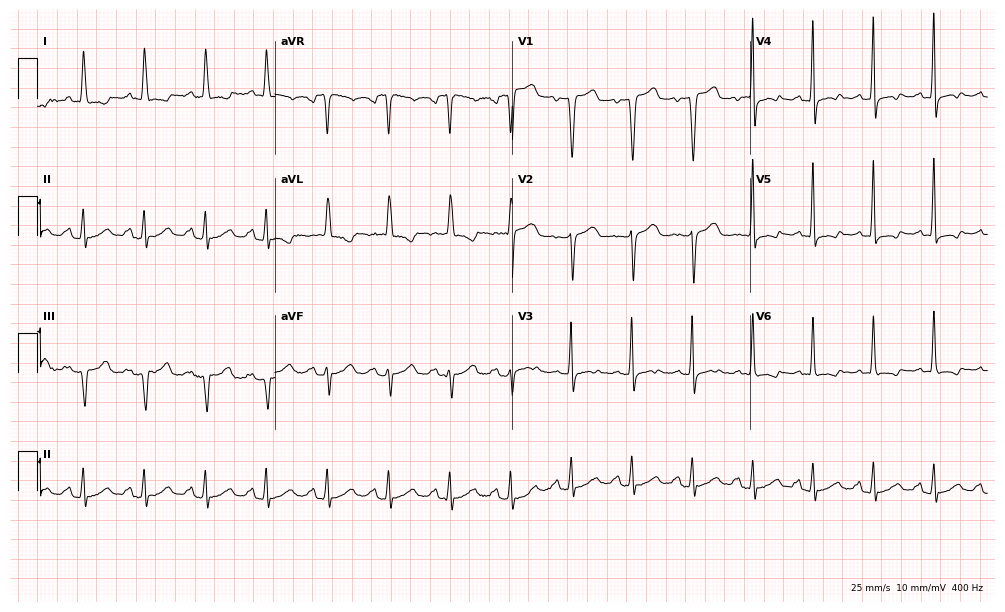
Resting 12-lead electrocardiogram. Patient: a female, 69 years old. None of these six findings is recorded: first-degree AV block, right bundle branch block, left bundle branch block, sinus bradycardia, atrial fibrillation, sinus tachycardia. Only these six findings were labelled.